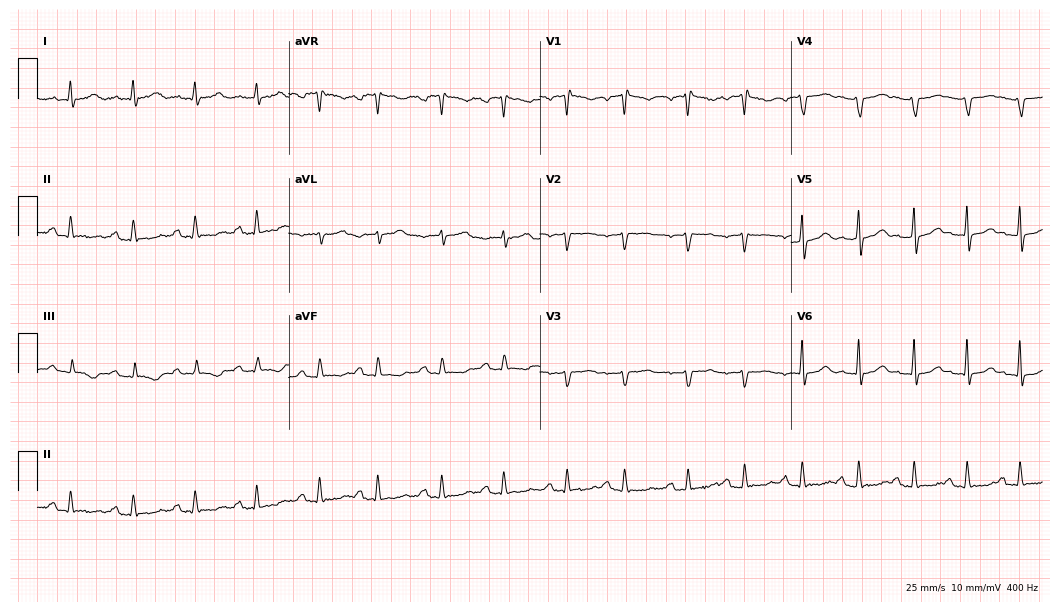
Electrocardiogram (10.2-second recording at 400 Hz), a woman, 68 years old. Of the six screened findings (first-degree AV block, right bundle branch block, left bundle branch block, sinus bradycardia, atrial fibrillation, sinus tachycardia), none is recorded.